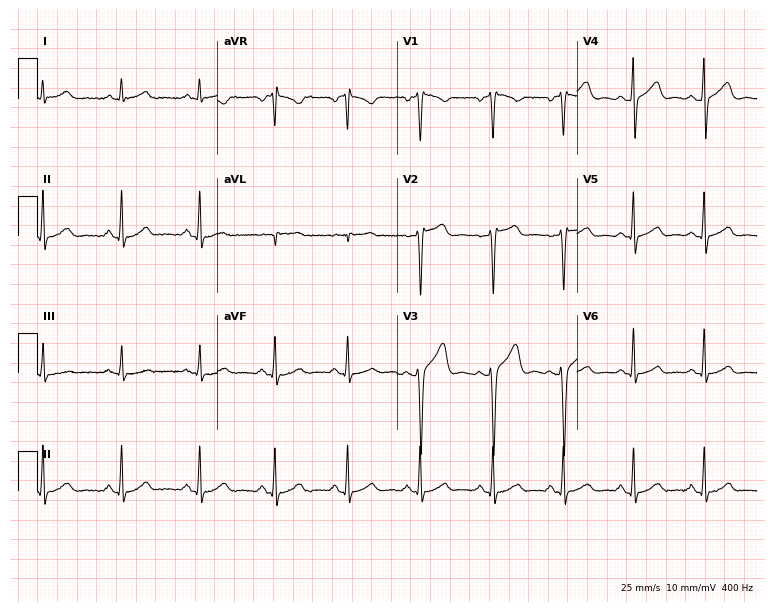
Resting 12-lead electrocardiogram. Patient: a male, 59 years old. Read as a normal ECG.